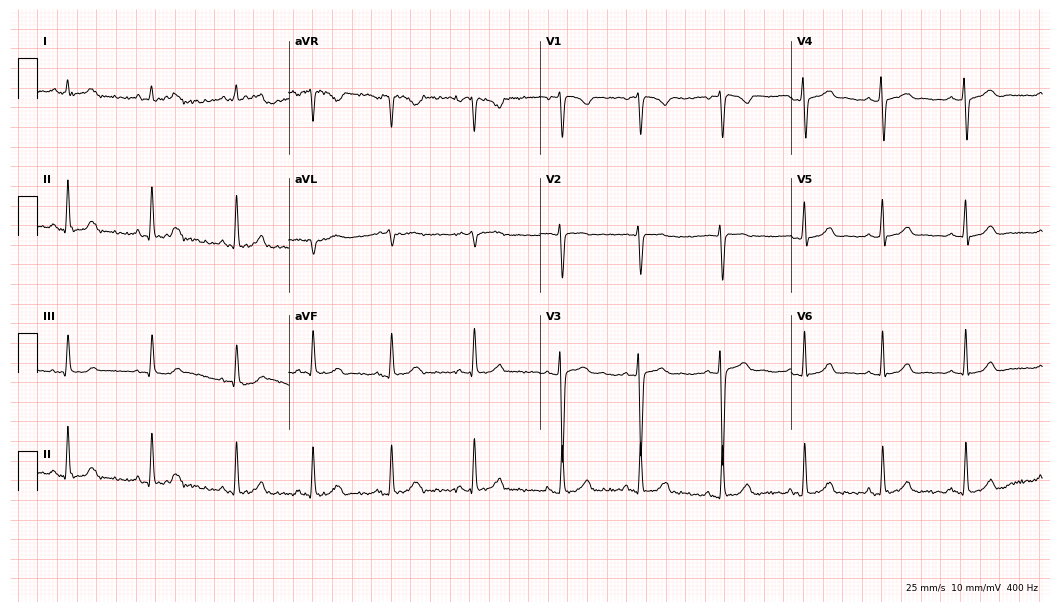
Resting 12-lead electrocardiogram. Patient: a female, 21 years old. Read as a normal ECG.